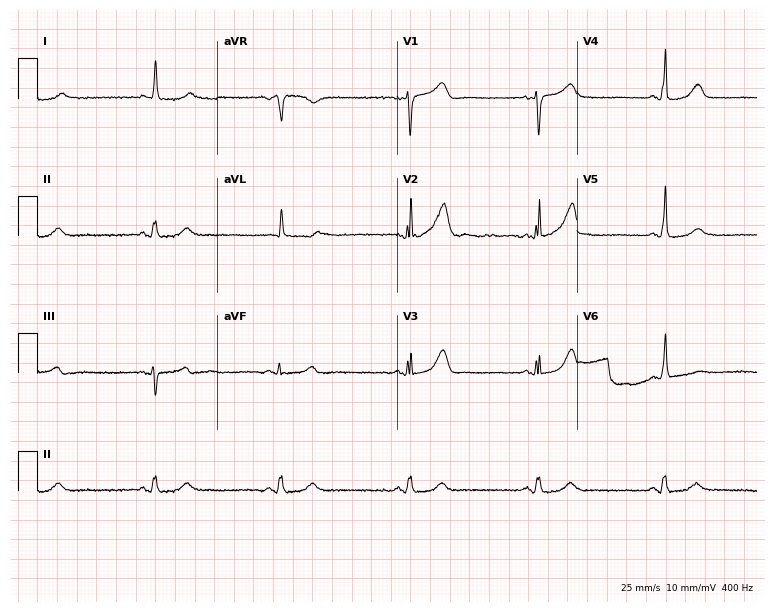
Standard 12-lead ECG recorded from a 76-year-old woman (7.3-second recording at 400 Hz). The tracing shows sinus bradycardia (a sinus rate of 50 beats per minute or less).